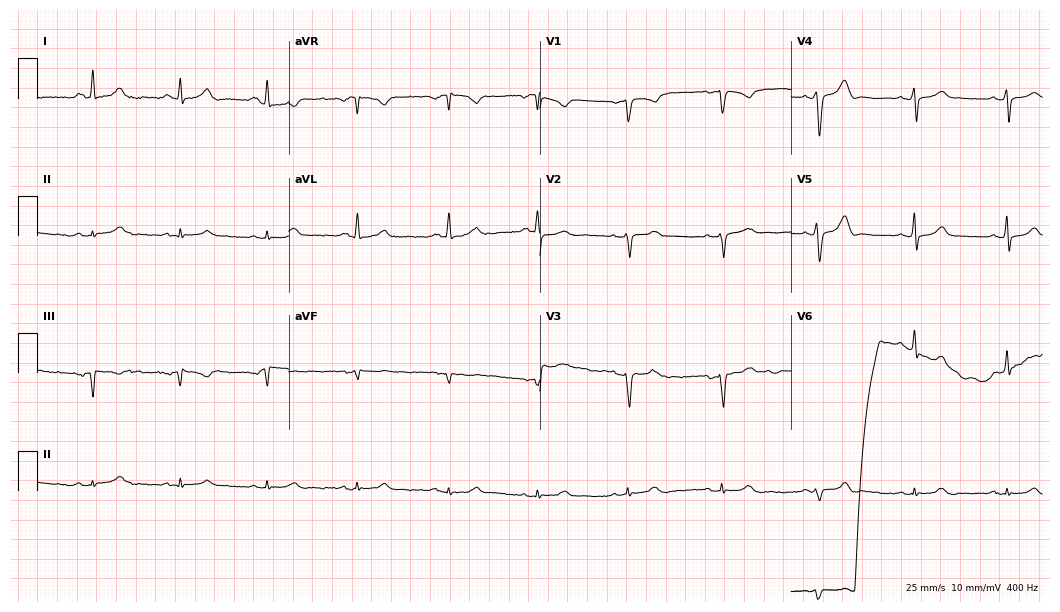
ECG (10.2-second recording at 400 Hz) — a female, 36 years old. Screened for six findings — first-degree AV block, right bundle branch block, left bundle branch block, sinus bradycardia, atrial fibrillation, sinus tachycardia — none is recorded. Only these six findings were labelled.